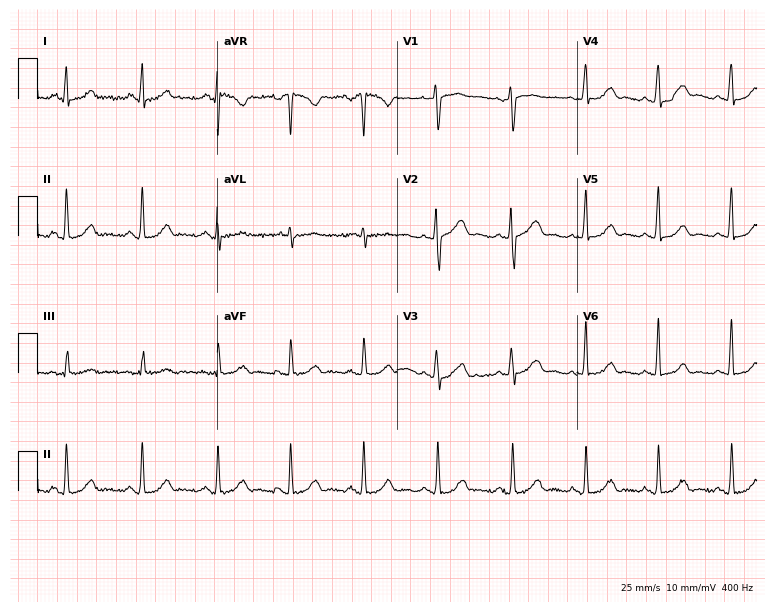
ECG (7.3-second recording at 400 Hz) — a 48-year-old woman. Screened for six findings — first-degree AV block, right bundle branch block, left bundle branch block, sinus bradycardia, atrial fibrillation, sinus tachycardia — none is recorded.